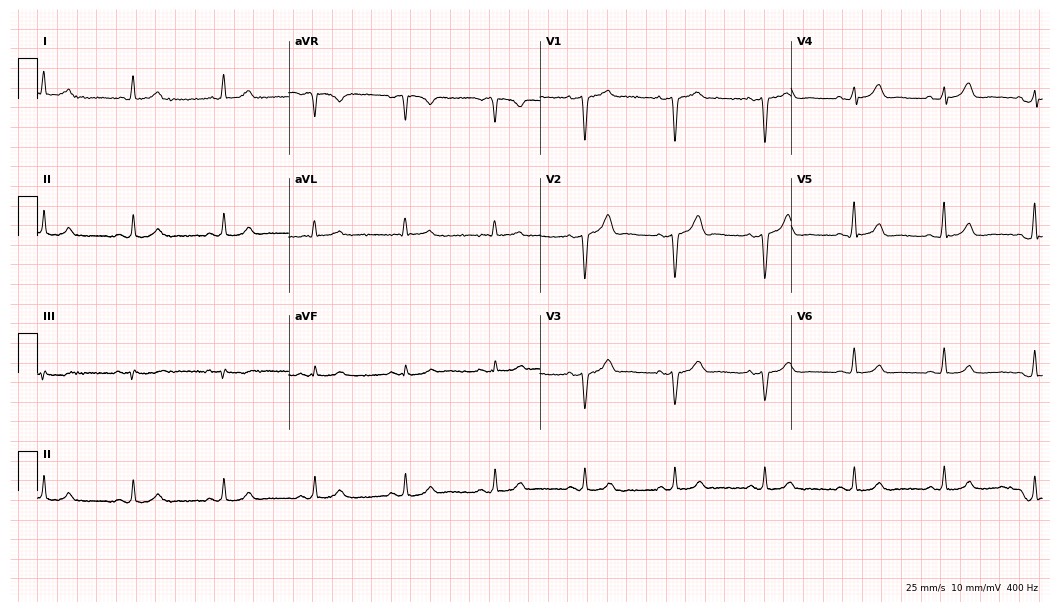
Electrocardiogram, a 51-year-old man. Overall reading on record: normal ECG.